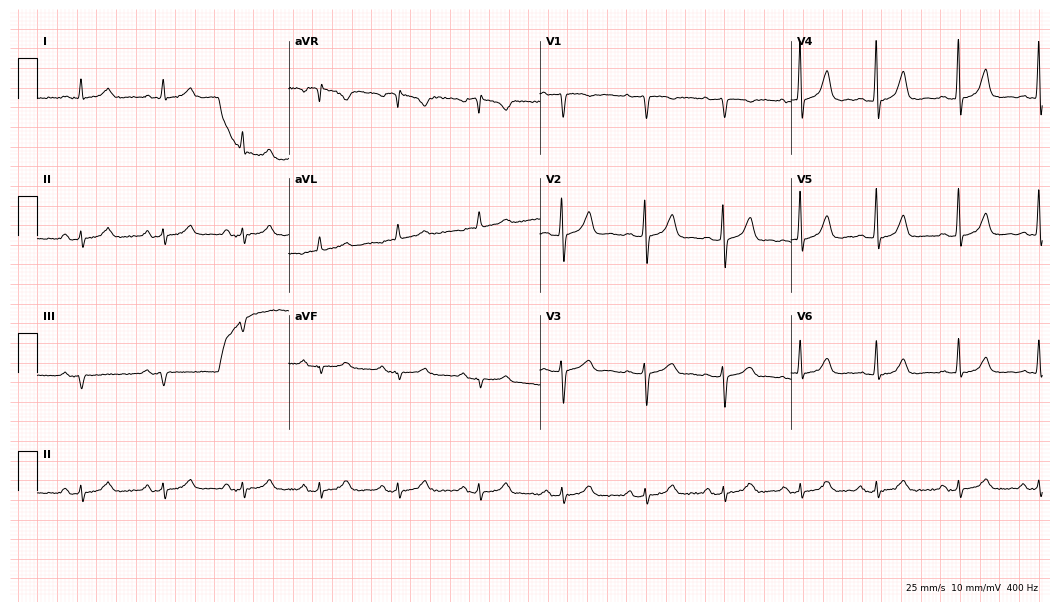
ECG (10.2-second recording at 400 Hz) — a female patient, 80 years old. Labelled as a normal ECG.